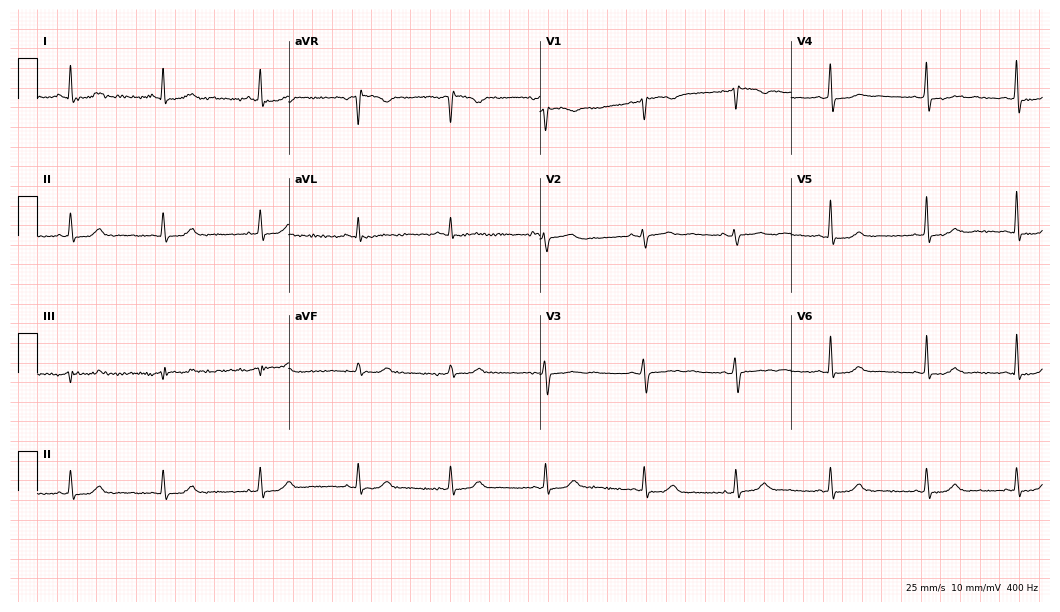
Standard 12-lead ECG recorded from a 58-year-old female patient. Read as a normal ECG.